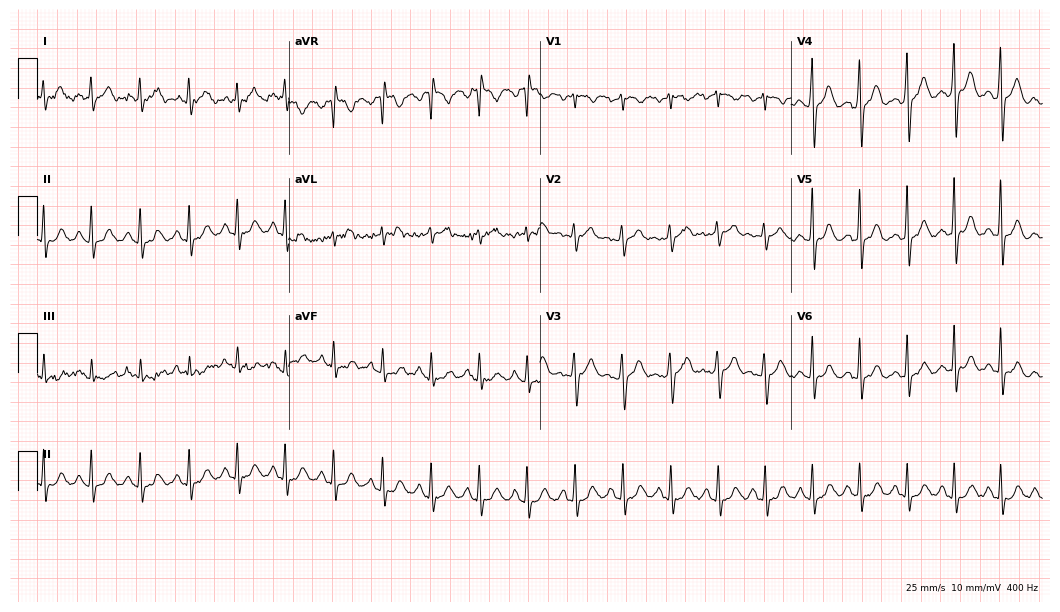
12-lead ECG from a 30-year-old woman. Shows sinus tachycardia (a sinus rate of 100 beats per minute or more).